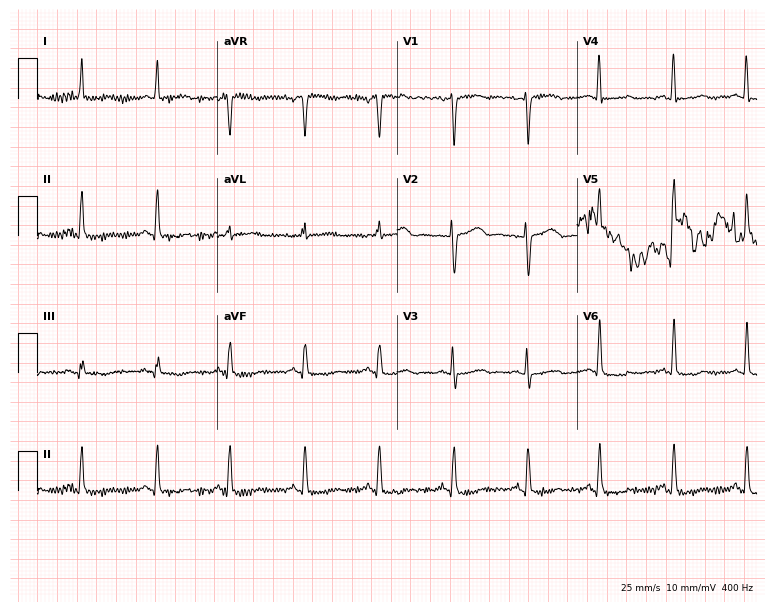
Electrocardiogram, a woman, 46 years old. Of the six screened findings (first-degree AV block, right bundle branch block (RBBB), left bundle branch block (LBBB), sinus bradycardia, atrial fibrillation (AF), sinus tachycardia), none is recorded.